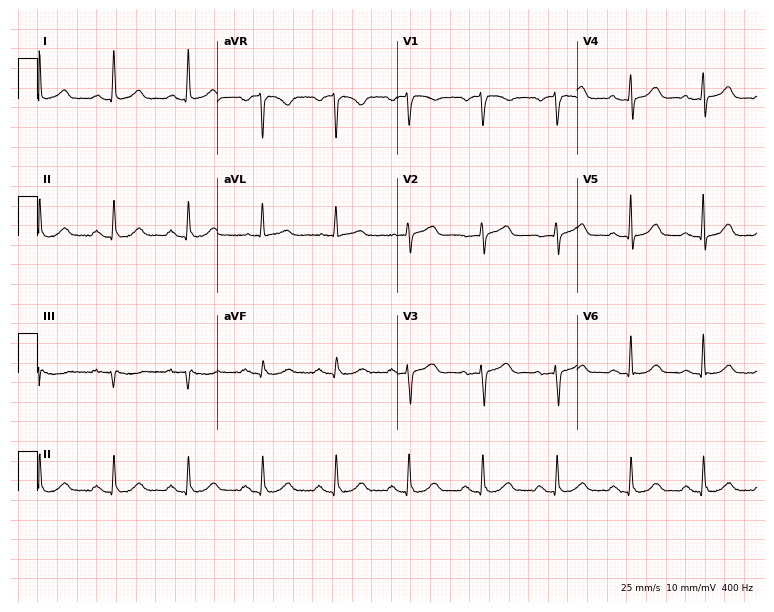
ECG (7.3-second recording at 400 Hz) — a 60-year-old woman. Labelled as a normal ECG.